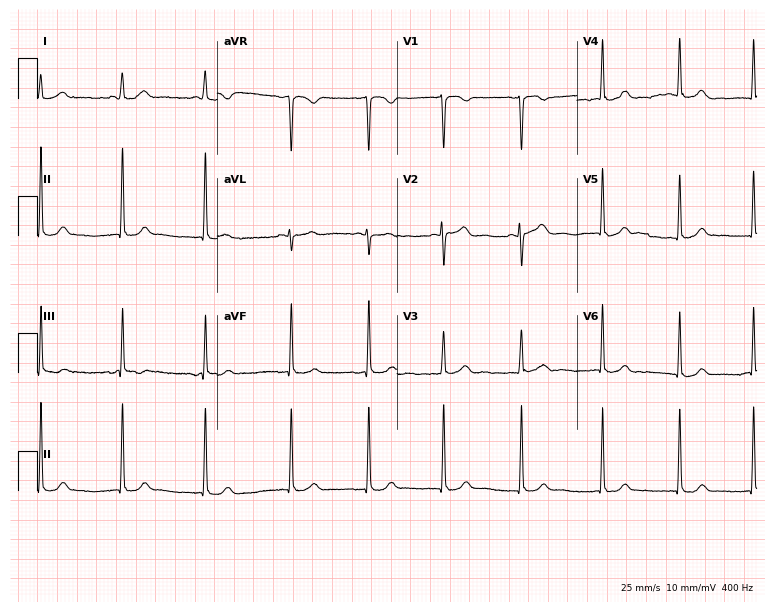
12-lead ECG (7.3-second recording at 400 Hz) from a 74-year-old female. Labelled as a normal ECG.